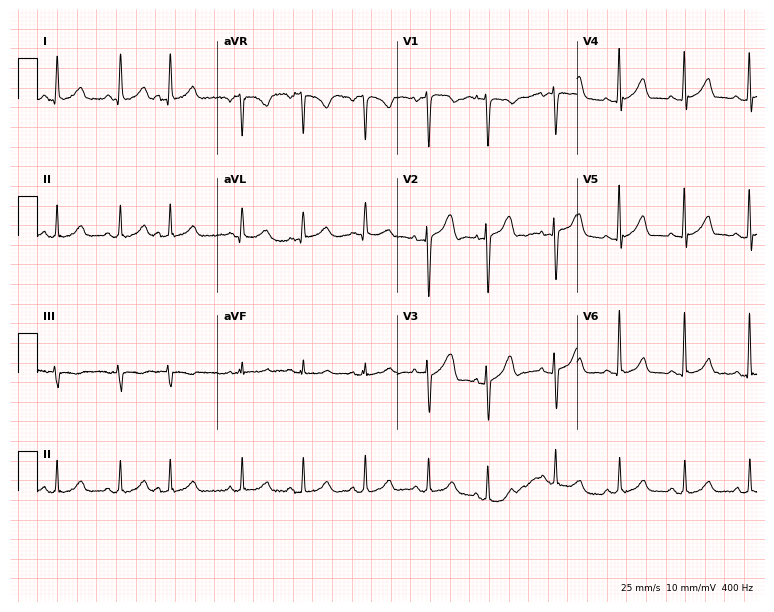
Standard 12-lead ECG recorded from a male, 57 years old (7.3-second recording at 400 Hz). None of these six findings is recorded: first-degree AV block, right bundle branch block, left bundle branch block, sinus bradycardia, atrial fibrillation, sinus tachycardia. Findings outside these six are not listed.